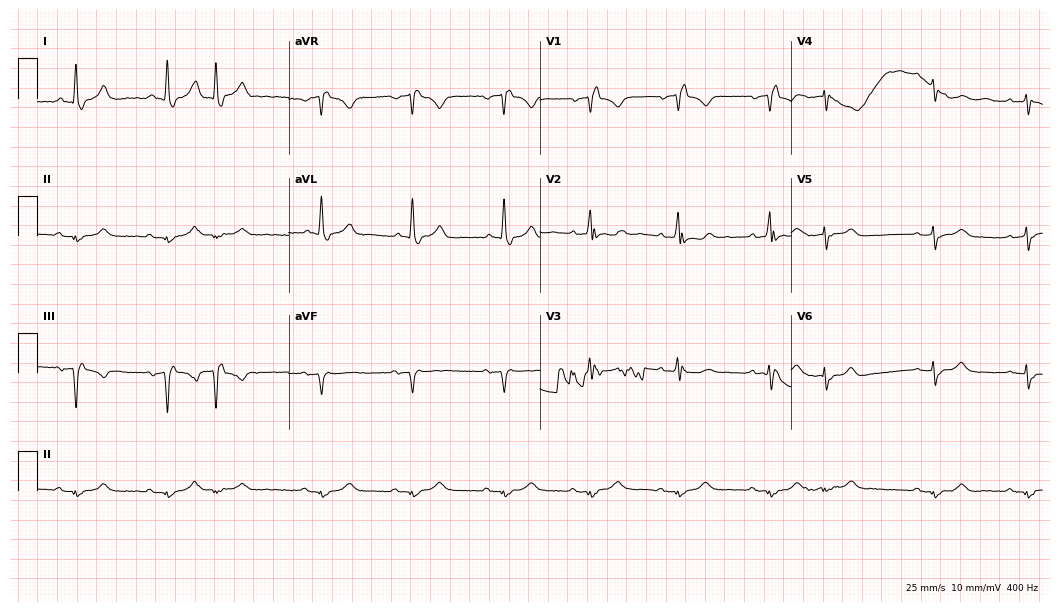
Electrocardiogram, a woman, 79 years old. Interpretation includes right bundle branch block (RBBB).